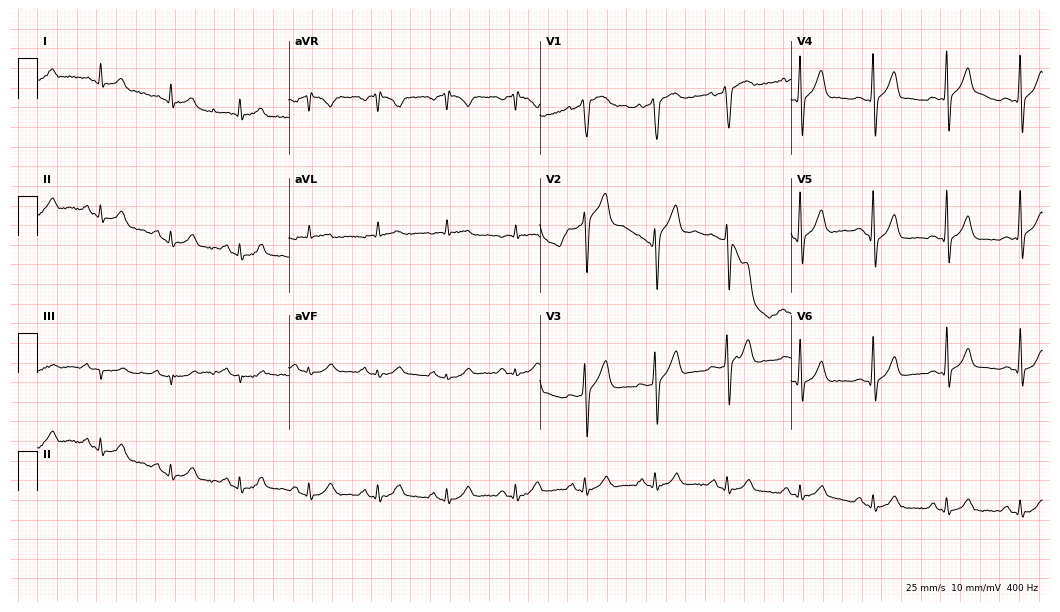
Resting 12-lead electrocardiogram (10.2-second recording at 400 Hz). Patient: a male, 45 years old. None of these six findings is recorded: first-degree AV block, right bundle branch block, left bundle branch block, sinus bradycardia, atrial fibrillation, sinus tachycardia.